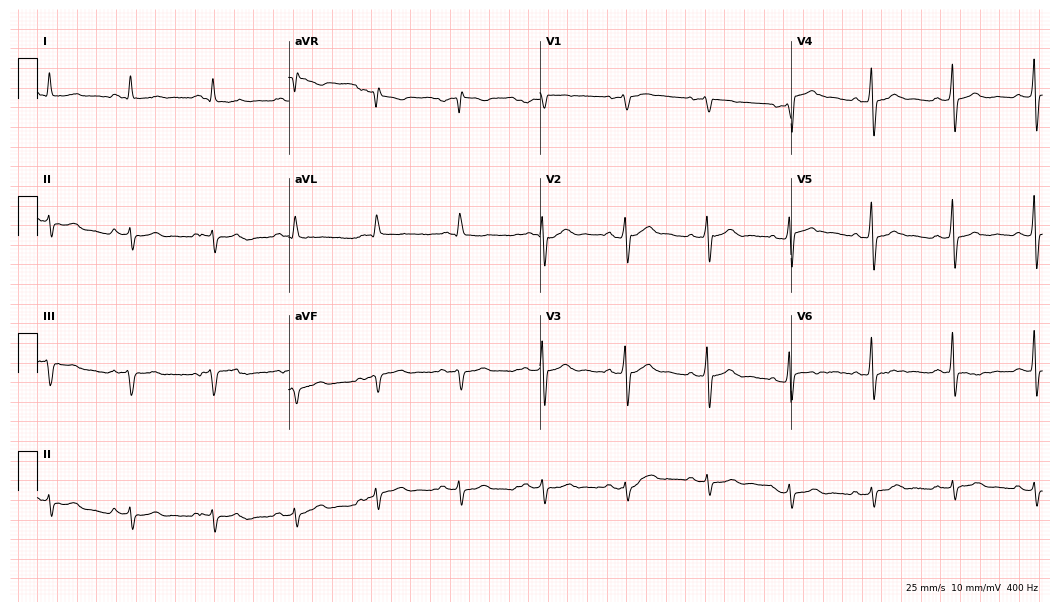
Electrocardiogram (10.2-second recording at 400 Hz), a 68-year-old male patient. Of the six screened findings (first-degree AV block, right bundle branch block, left bundle branch block, sinus bradycardia, atrial fibrillation, sinus tachycardia), none is recorded. Other findings, if any, are not listed.